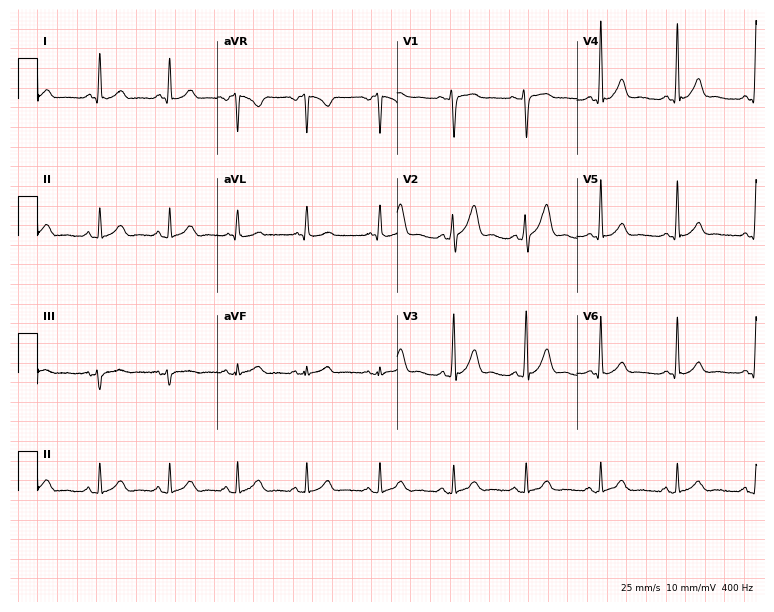
12-lead ECG from a 26-year-old man. Labelled as a normal ECG.